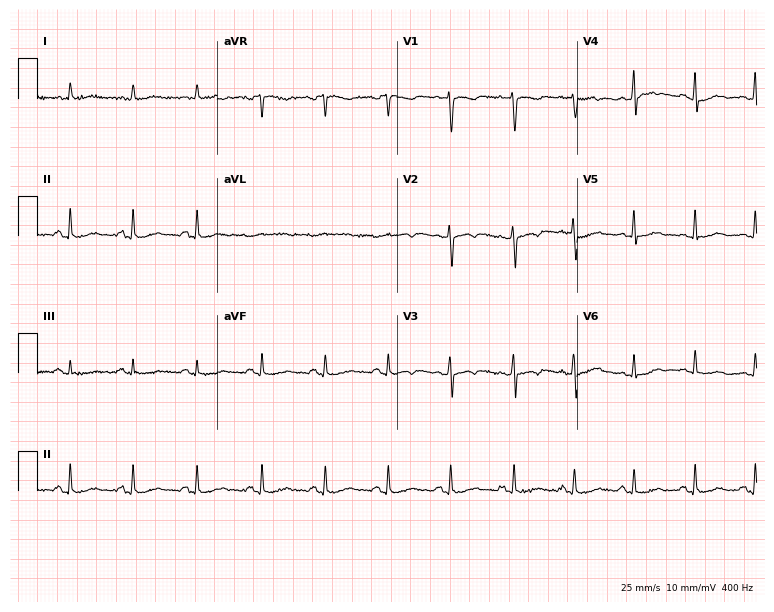
12-lead ECG from a 44-year-old female. Screened for six findings — first-degree AV block, right bundle branch block, left bundle branch block, sinus bradycardia, atrial fibrillation, sinus tachycardia — none is recorded. Only these six findings were labelled.